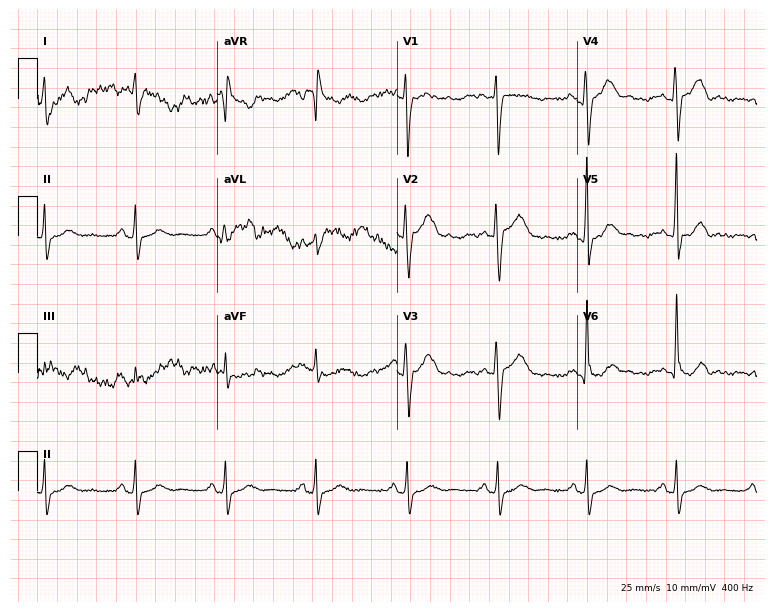
12-lead ECG (7.3-second recording at 400 Hz) from a 57-year-old female. Screened for six findings — first-degree AV block, right bundle branch block (RBBB), left bundle branch block (LBBB), sinus bradycardia, atrial fibrillation (AF), sinus tachycardia — none is recorded. Findings outside these six are not listed.